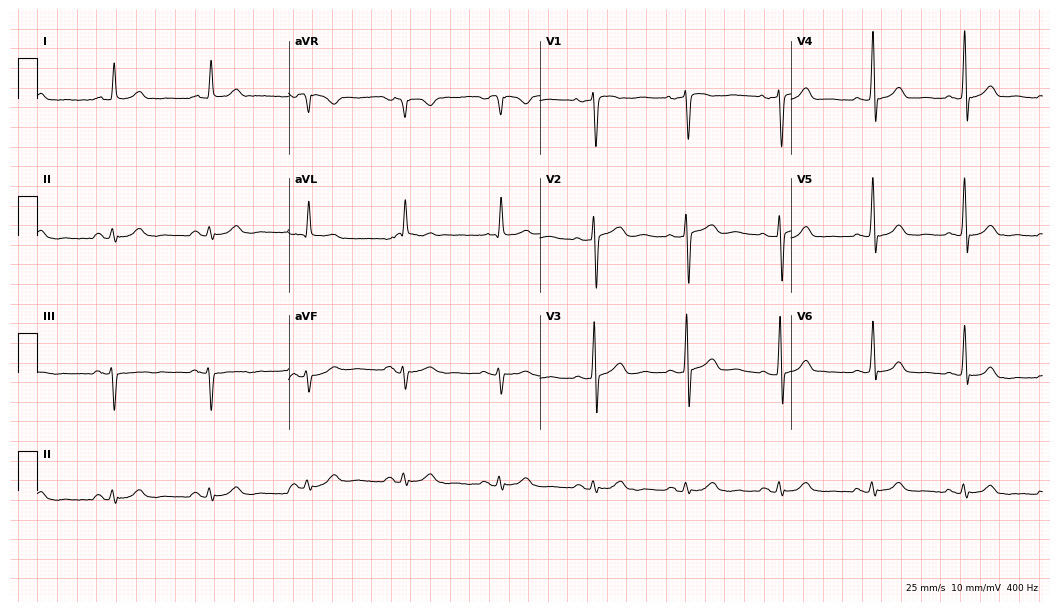
Electrocardiogram (10.2-second recording at 400 Hz), a male, 78 years old. Overall reading on record: normal ECG.